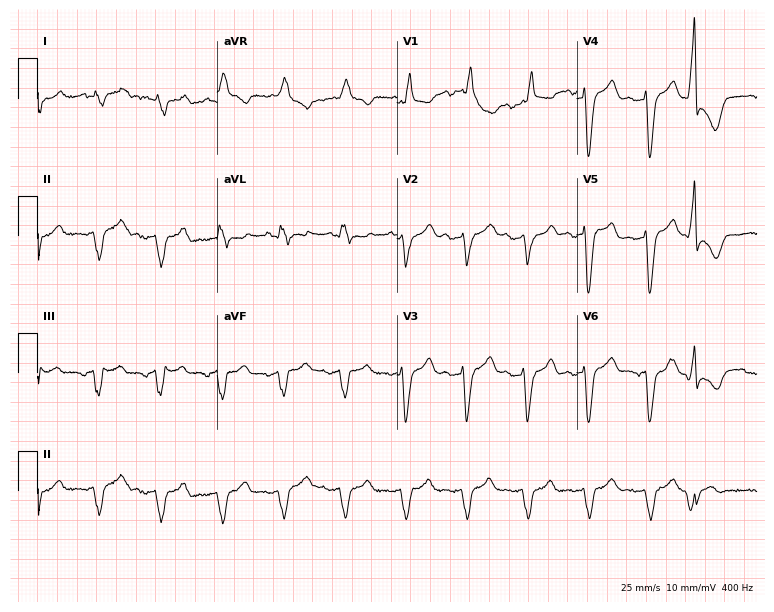
12-lead ECG (7.3-second recording at 400 Hz) from a male patient, 71 years old. Findings include right bundle branch block (RBBB).